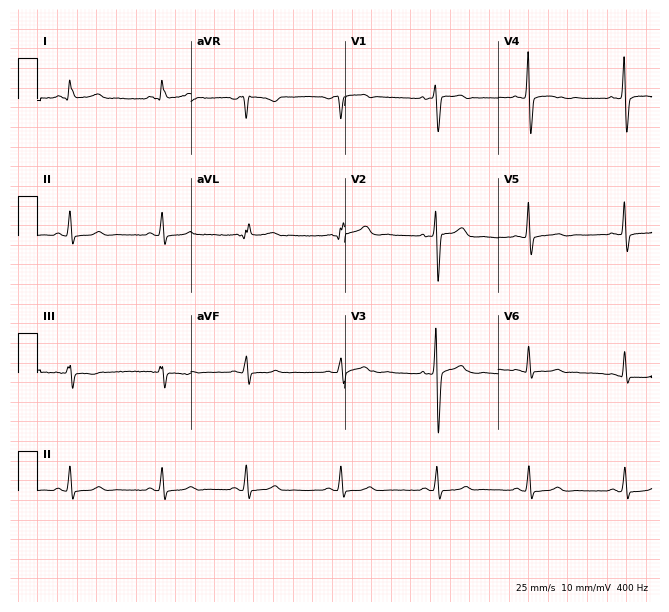
ECG — a female patient, 35 years old. Screened for six findings — first-degree AV block, right bundle branch block, left bundle branch block, sinus bradycardia, atrial fibrillation, sinus tachycardia — none is recorded. Other findings, if any, are not listed.